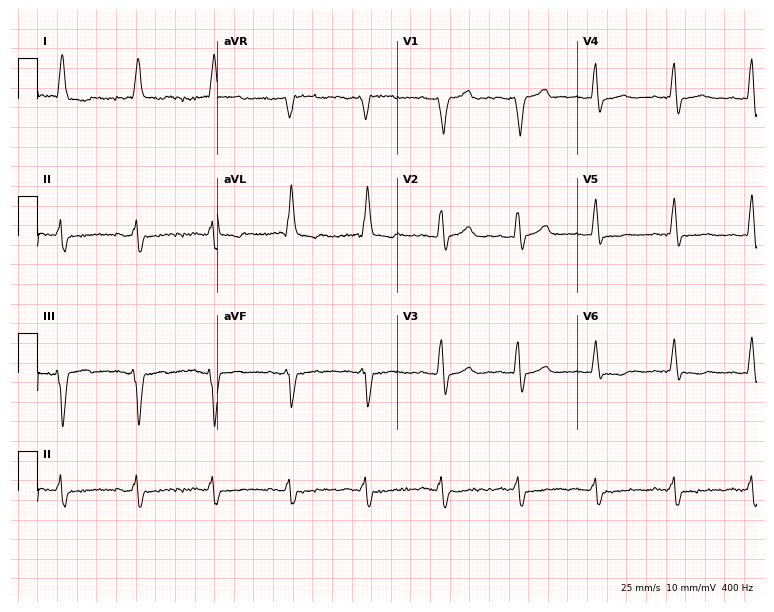
ECG (7.3-second recording at 400 Hz) — a male patient, 72 years old. Findings include left bundle branch block.